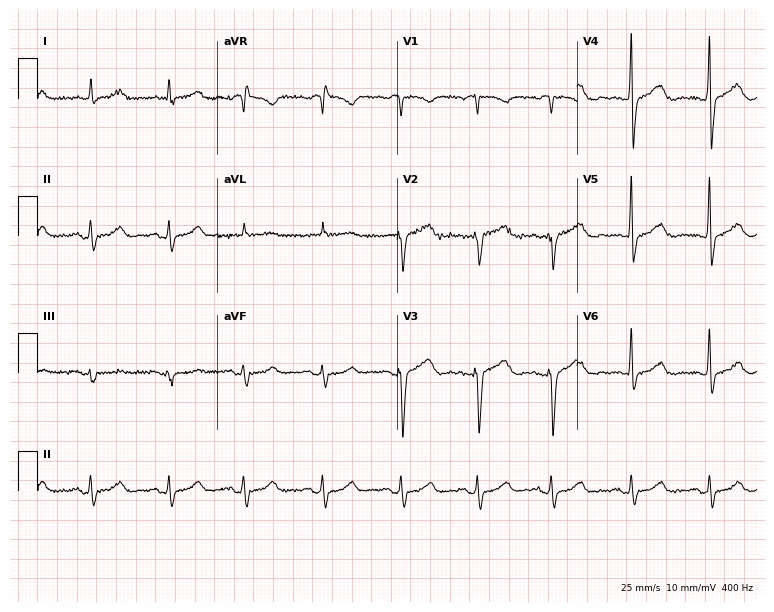
Standard 12-lead ECG recorded from a male patient, 60 years old. None of these six findings is recorded: first-degree AV block, right bundle branch block, left bundle branch block, sinus bradycardia, atrial fibrillation, sinus tachycardia. Findings outside these six are not listed.